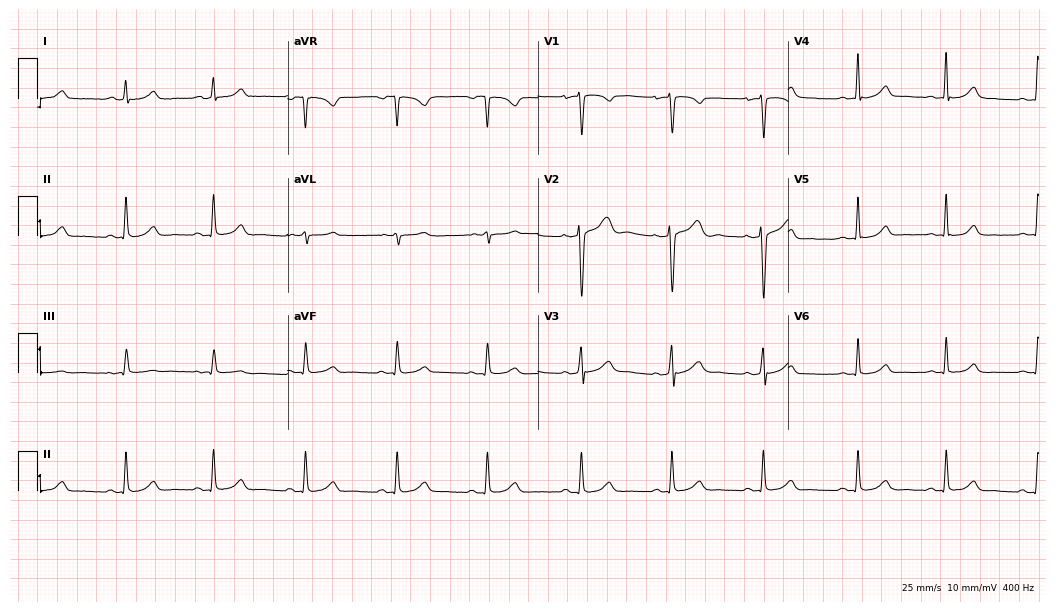
Standard 12-lead ECG recorded from a female, 25 years old (10.2-second recording at 400 Hz). Read as a normal ECG.